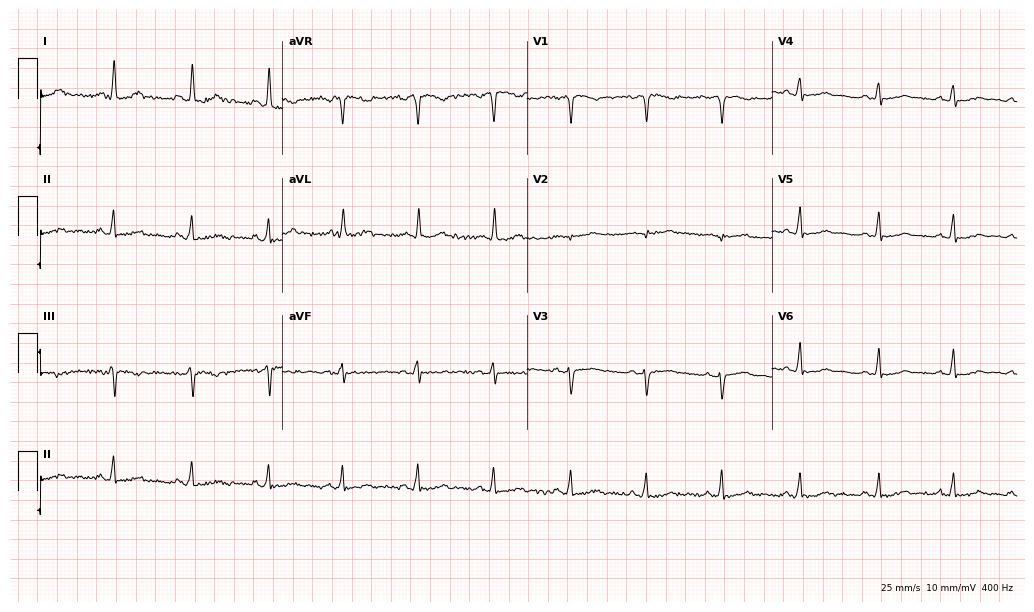
Resting 12-lead electrocardiogram. Patient: a female, 47 years old. Read as a normal ECG.